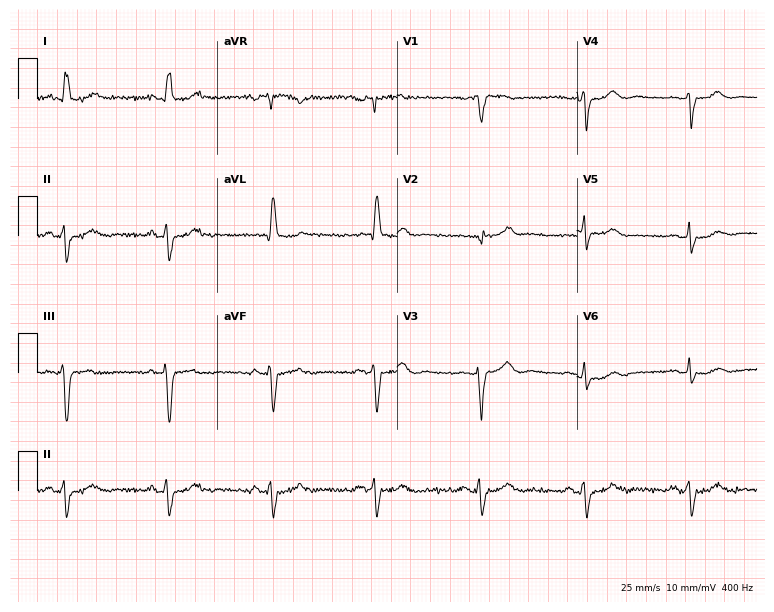
12-lead ECG from a woman, 83 years old. Screened for six findings — first-degree AV block, right bundle branch block, left bundle branch block, sinus bradycardia, atrial fibrillation, sinus tachycardia — none is recorded.